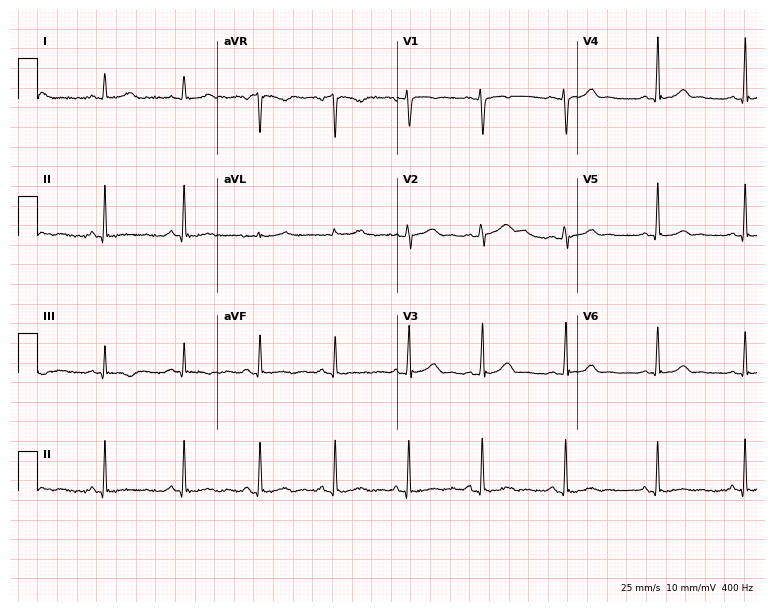
Resting 12-lead electrocardiogram. Patient: a 40-year-old female. None of these six findings is recorded: first-degree AV block, right bundle branch block, left bundle branch block, sinus bradycardia, atrial fibrillation, sinus tachycardia.